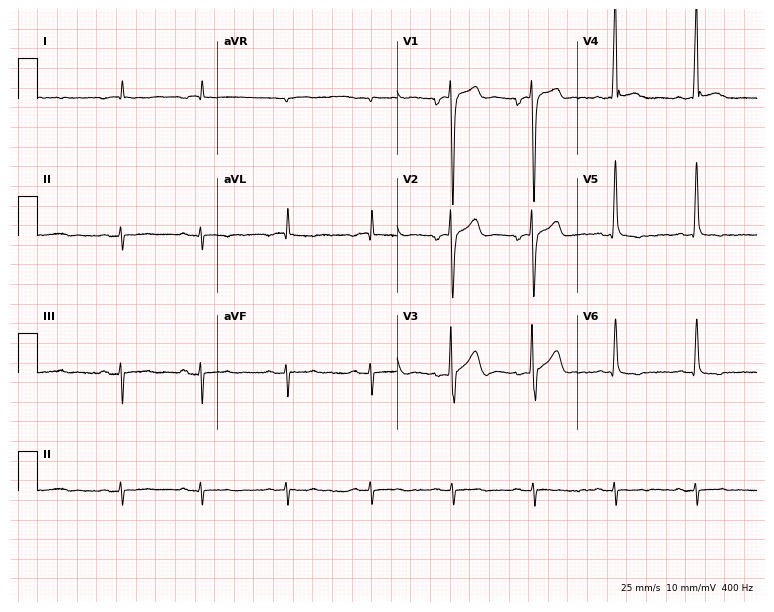
ECG (7.3-second recording at 400 Hz) — a male, 27 years old. Screened for six findings — first-degree AV block, right bundle branch block (RBBB), left bundle branch block (LBBB), sinus bradycardia, atrial fibrillation (AF), sinus tachycardia — none is recorded. Only these six findings were labelled.